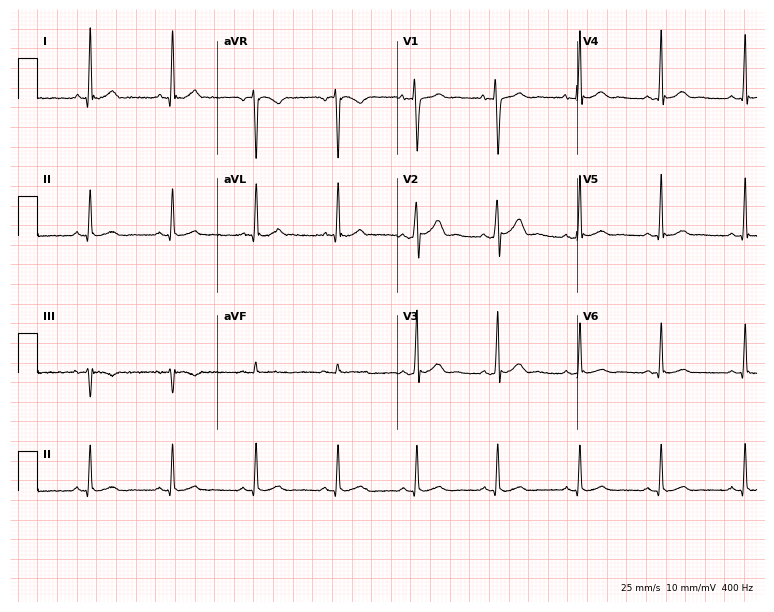
12-lead ECG from a 33-year-old male (7.3-second recording at 400 Hz). No first-degree AV block, right bundle branch block, left bundle branch block, sinus bradycardia, atrial fibrillation or sinus tachycardia recorded for this tracing.